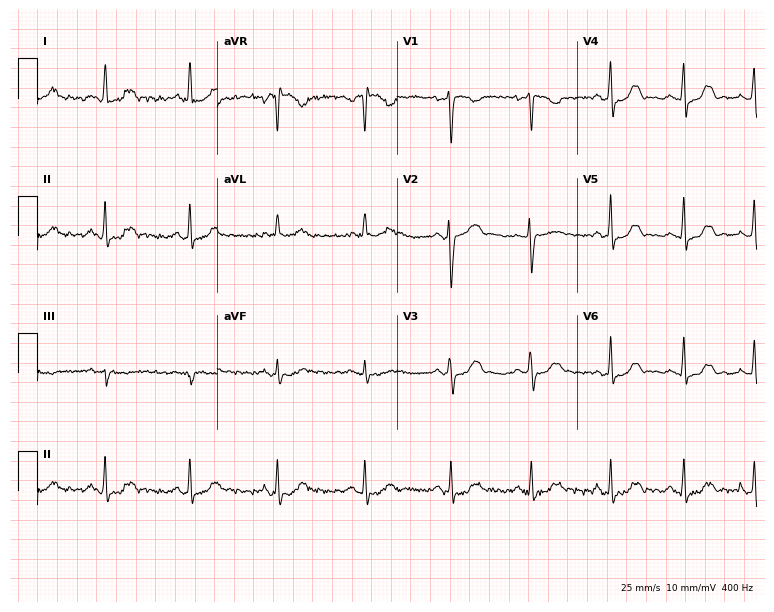
Electrocardiogram, a female, 40 years old. Of the six screened findings (first-degree AV block, right bundle branch block, left bundle branch block, sinus bradycardia, atrial fibrillation, sinus tachycardia), none is recorded. Other findings, if any, are not listed.